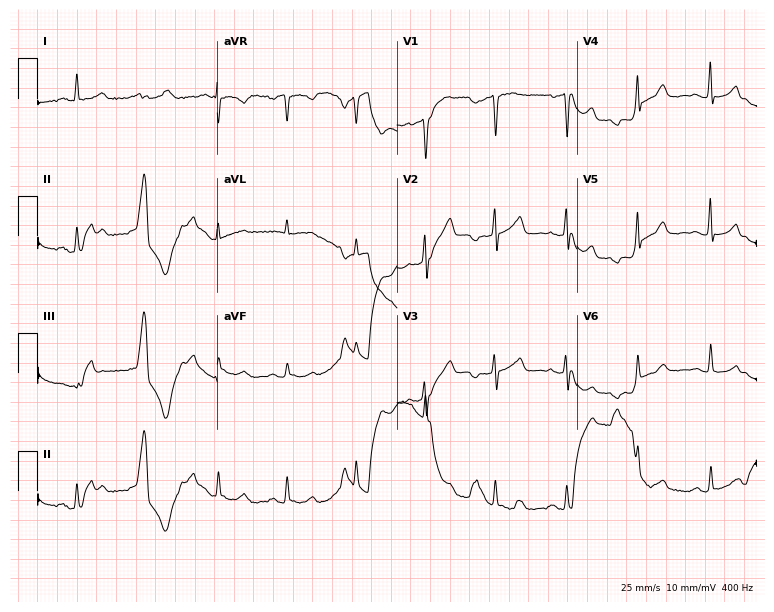
Electrocardiogram, a woman, 64 years old. Of the six screened findings (first-degree AV block, right bundle branch block, left bundle branch block, sinus bradycardia, atrial fibrillation, sinus tachycardia), none is recorded. Other findings, if any, are not listed.